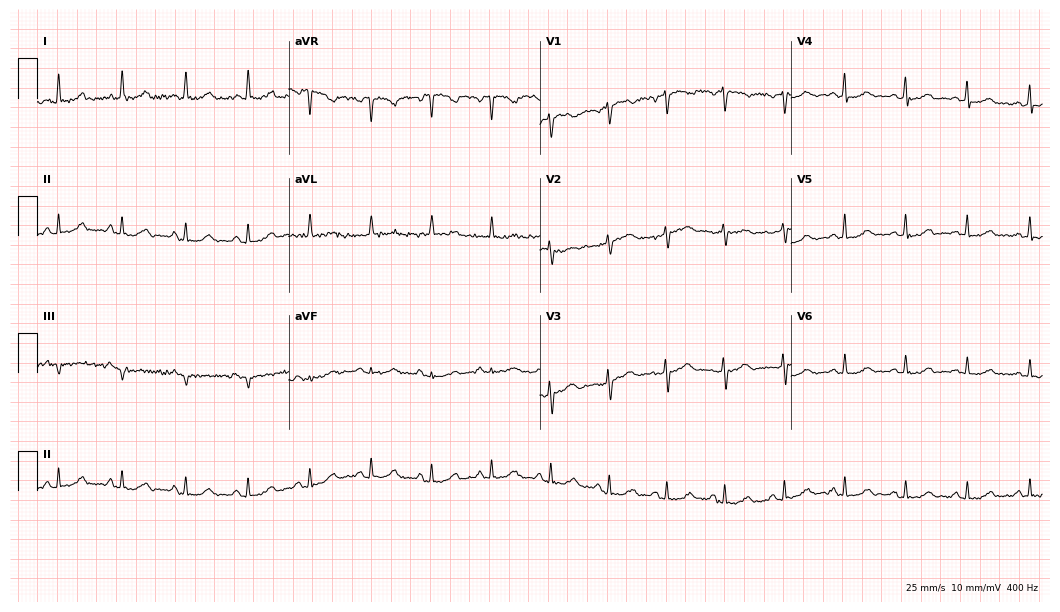
12-lead ECG (10.2-second recording at 400 Hz) from a 70-year-old female. Screened for six findings — first-degree AV block, right bundle branch block, left bundle branch block, sinus bradycardia, atrial fibrillation, sinus tachycardia — none is recorded.